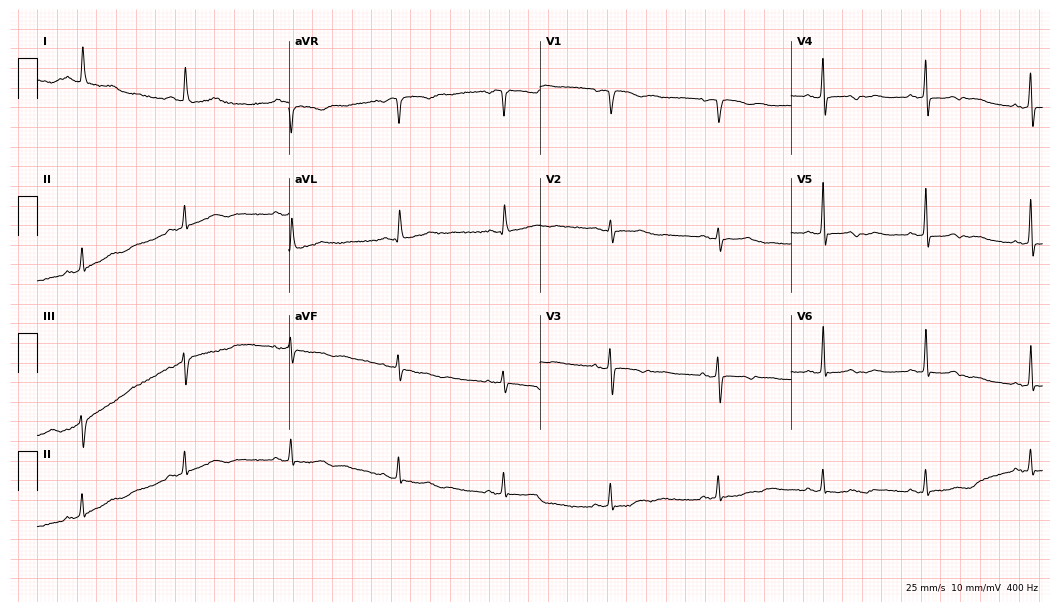
12-lead ECG (10.2-second recording at 400 Hz) from a 63-year-old female. Screened for six findings — first-degree AV block, right bundle branch block, left bundle branch block, sinus bradycardia, atrial fibrillation, sinus tachycardia — none is recorded. Findings outside these six are not listed.